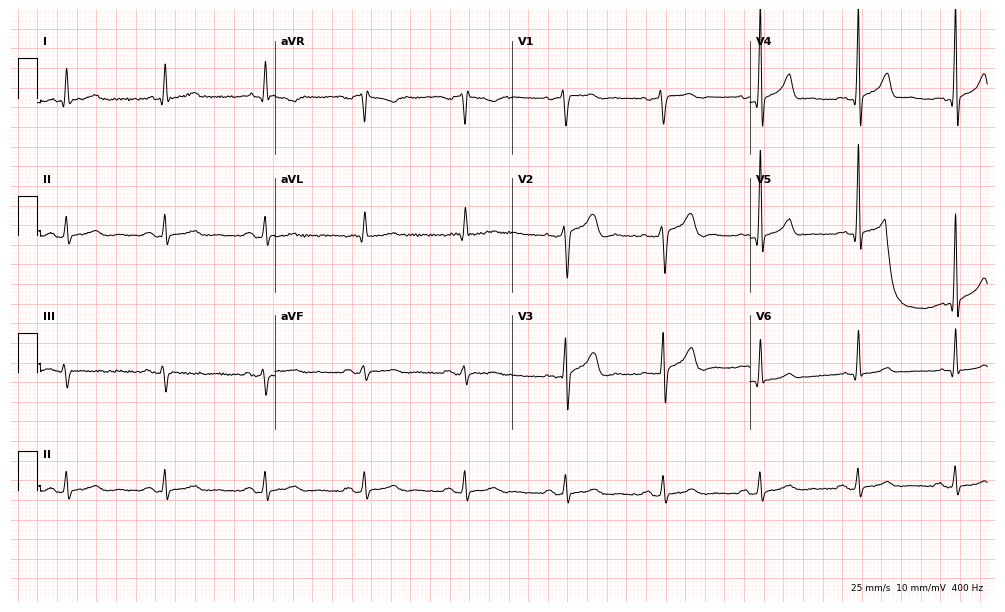
12-lead ECG from a 65-year-old male (9.7-second recording at 400 Hz). No first-degree AV block, right bundle branch block, left bundle branch block, sinus bradycardia, atrial fibrillation or sinus tachycardia recorded for this tracing.